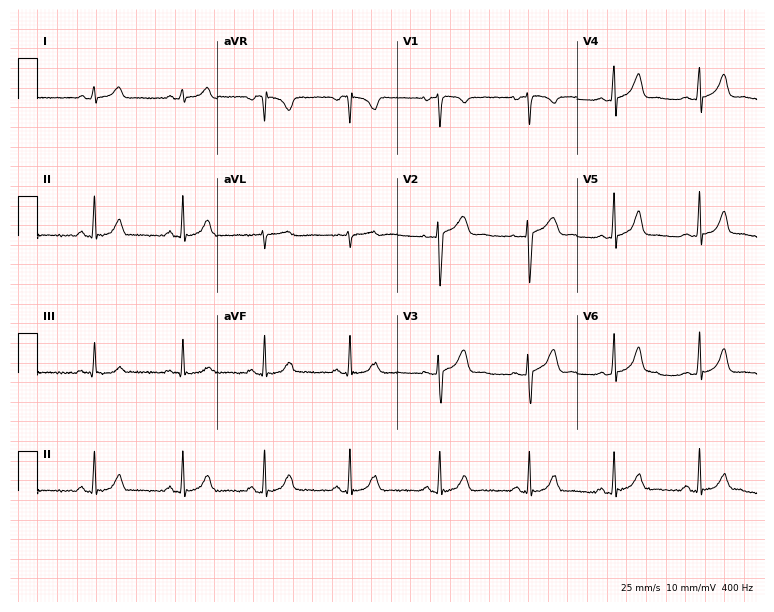
12-lead ECG from a female, 22 years old. Labelled as a normal ECG.